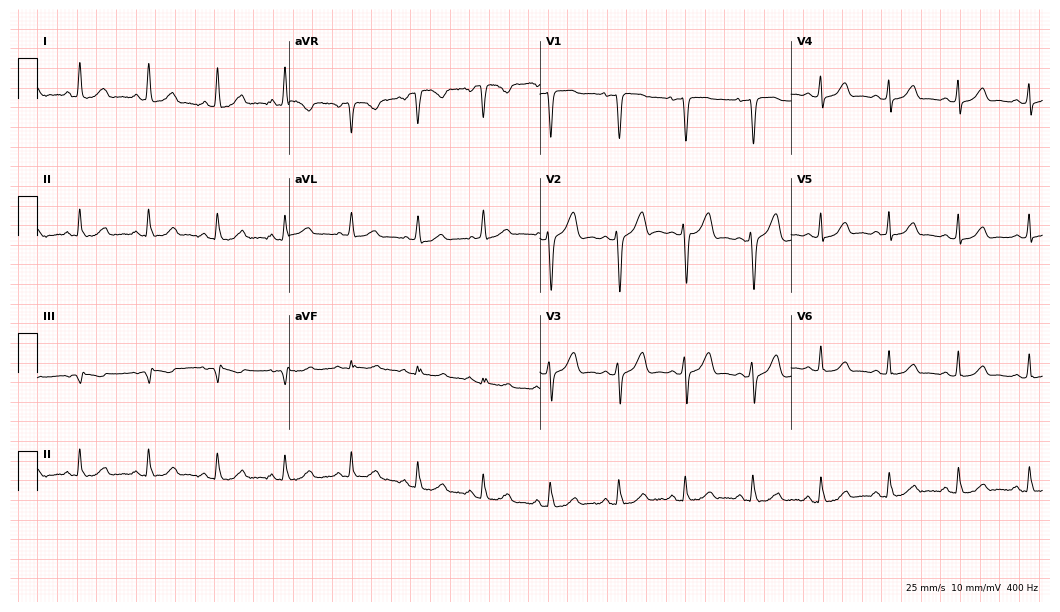
ECG (10.2-second recording at 400 Hz) — a 37-year-old female. Labelled as a normal ECG.